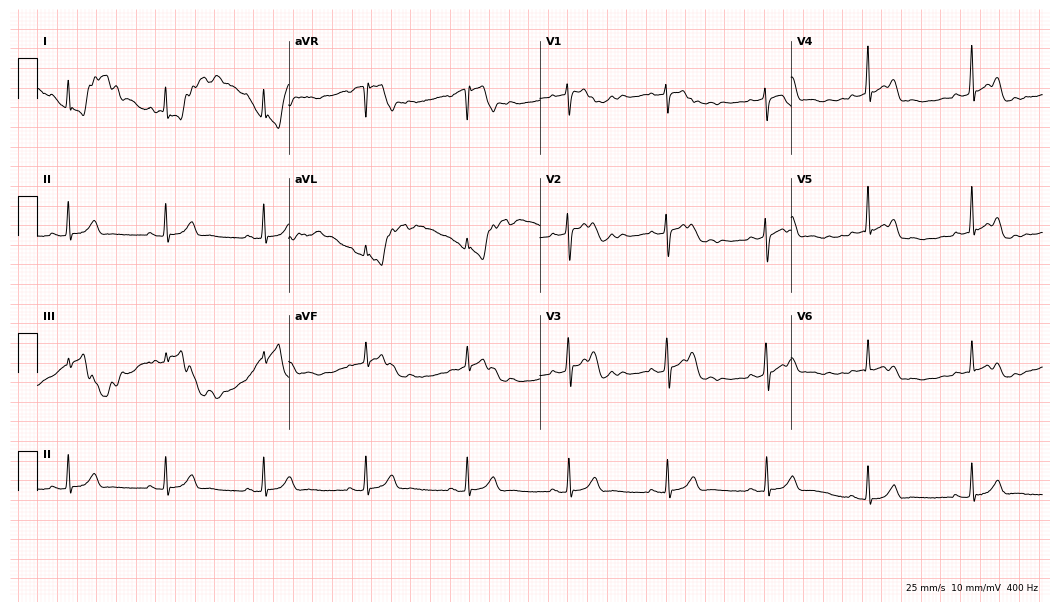
Electrocardiogram (10.2-second recording at 400 Hz), a man, 45 years old. Of the six screened findings (first-degree AV block, right bundle branch block (RBBB), left bundle branch block (LBBB), sinus bradycardia, atrial fibrillation (AF), sinus tachycardia), none is recorded.